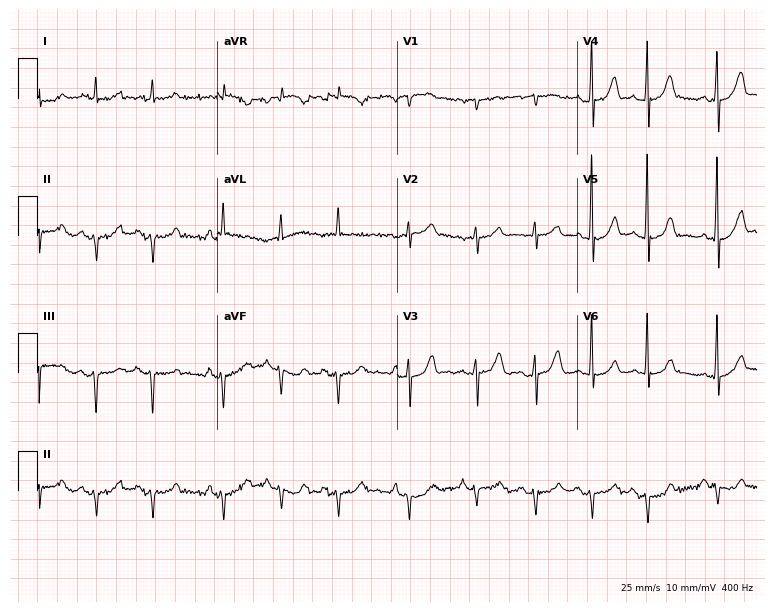
12-lead ECG (7.3-second recording at 400 Hz) from a 75-year-old man. Screened for six findings — first-degree AV block, right bundle branch block, left bundle branch block, sinus bradycardia, atrial fibrillation, sinus tachycardia — none is recorded.